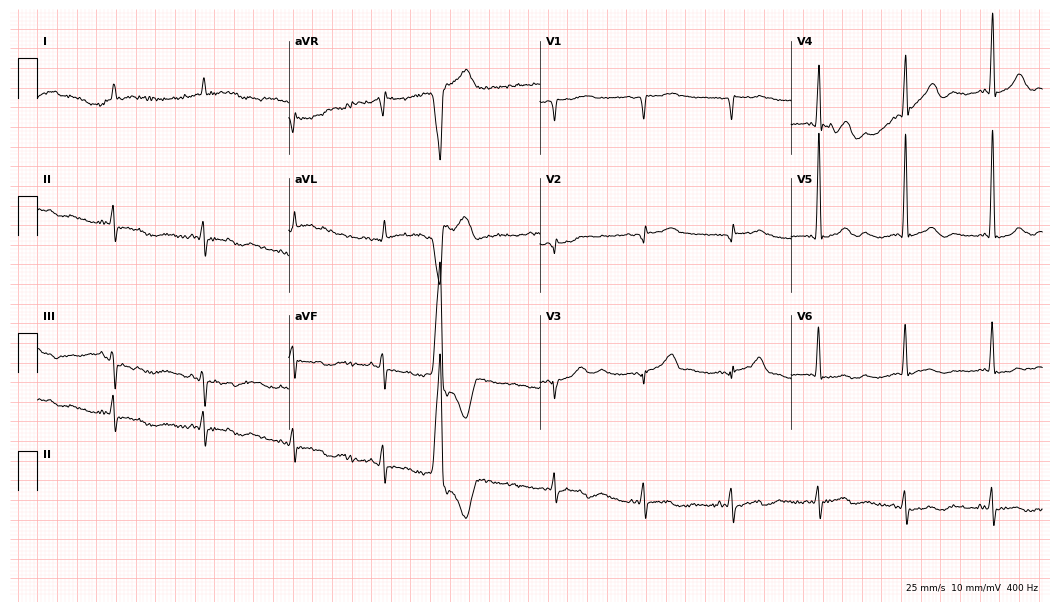
12-lead ECG from a man, 83 years old (10.2-second recording at 400 Hz). No first-degree AV block, right bundle branch block (RBBB), left bundle branch block (LBBB), sinus bradycardia, atrial fibrillation (AF) or sinus tachycardia recorded for this tracing. Only these six findings were labelled.